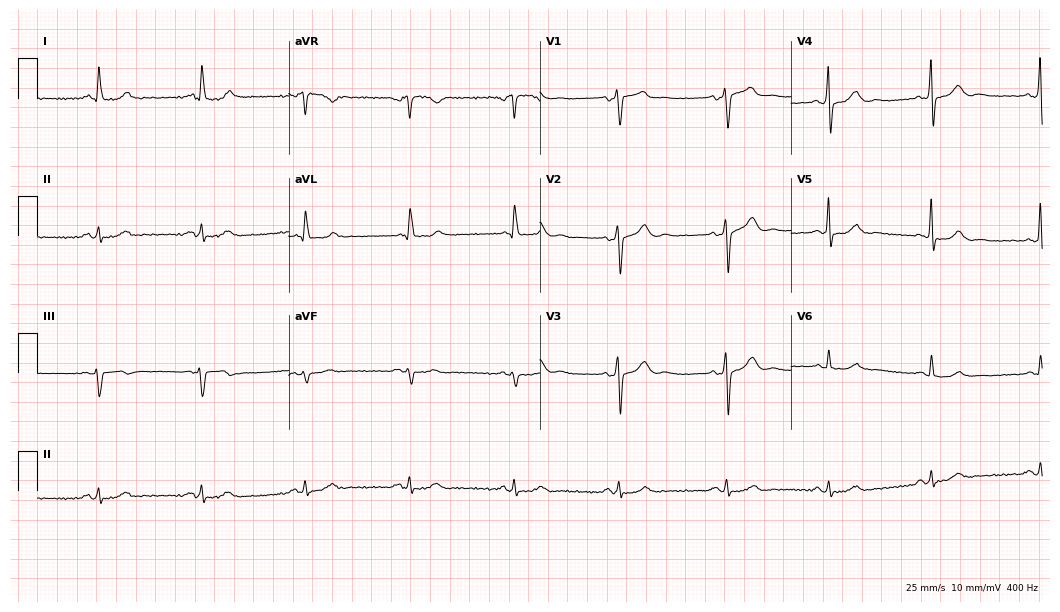
Electrocardiogram, a male, 74 years old. Overall reading on record: normal ECG.